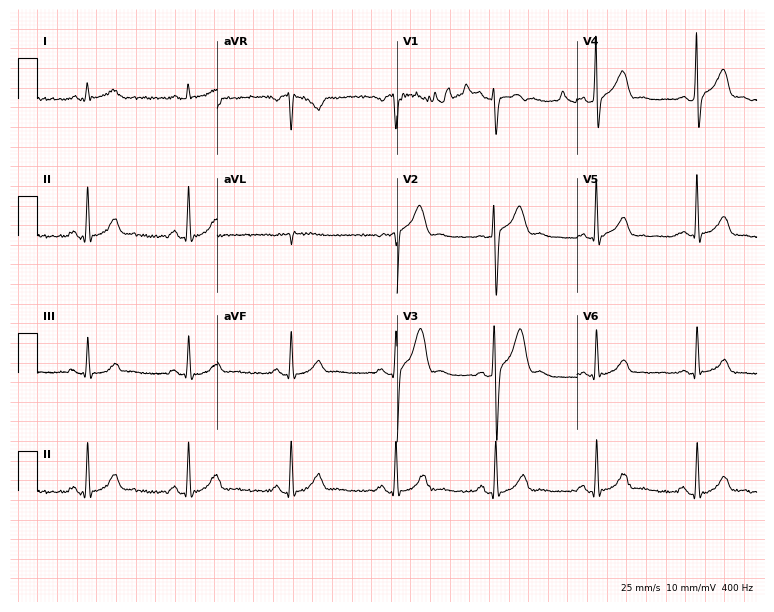
ECG (7.3-second recording at 400 Hz) — a male, 45 years old. Labelled as a normal ECG.